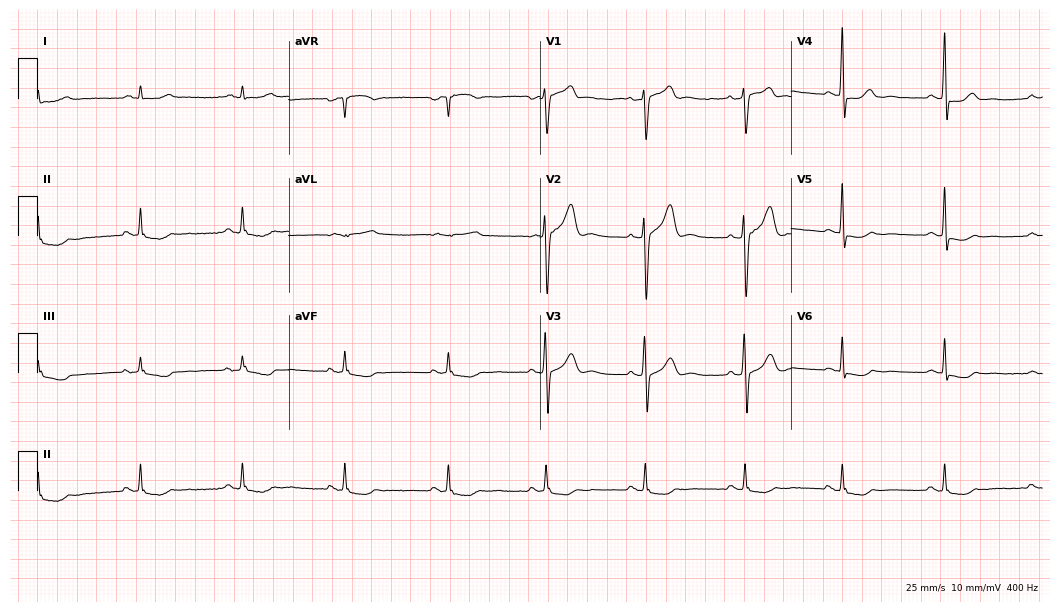
Standard 12-lead ECG recorded from a male, 51 years old. None of these six findings is recorded: first-degree AV block, right bundle branch block, left bundle branch block, sinus bradycardia, atrial fibrillation, sinus tachycardia.